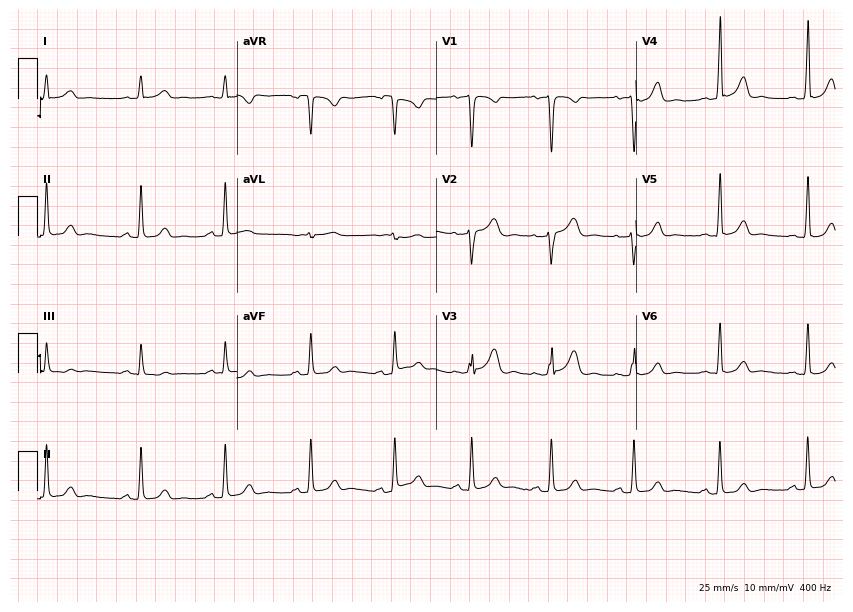
ECG (8.1-second recording at 400 Hz) — a 27-year-old woman. Labelled as a normal ECG.